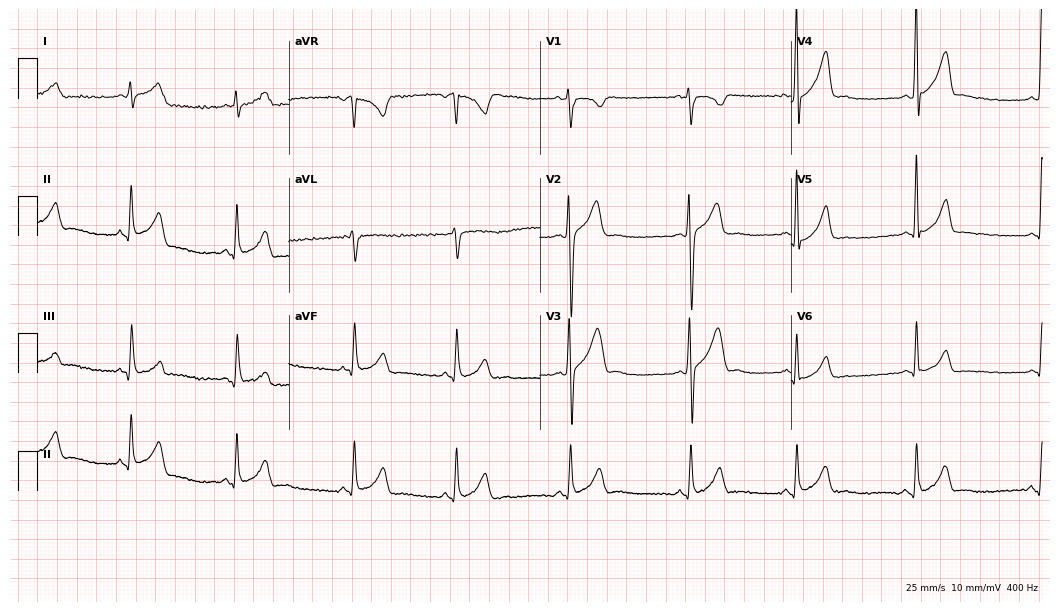
12-lead ECG from a male, 18 years old (10.2-second recording at 400 Hz). Recorded interpretation: within normal limits.